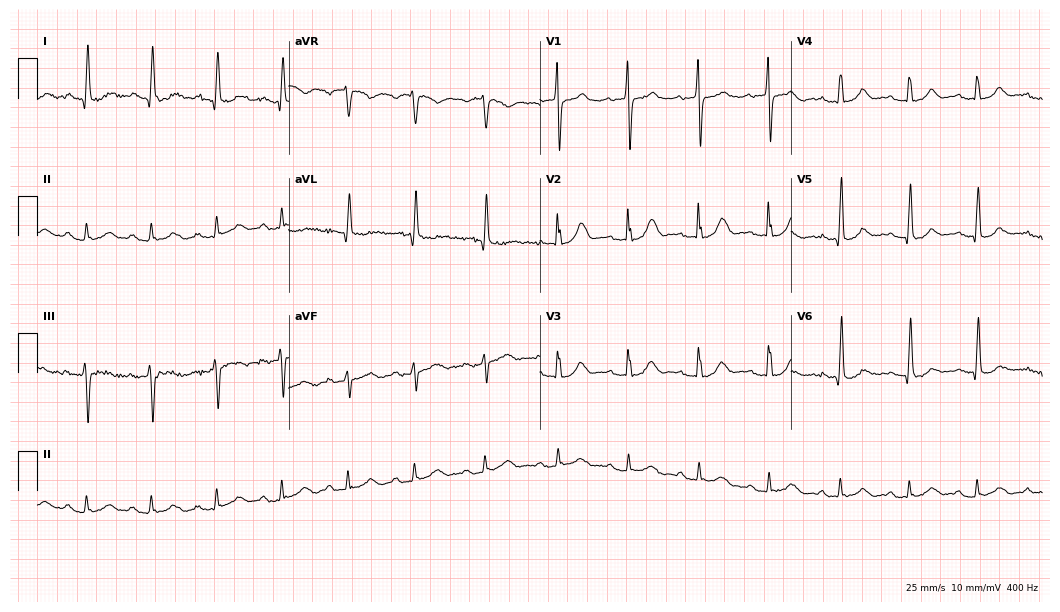
ECG (10.2-second recording at 400 Hz) — an 87-year-old woman. Screened for six findings — first-degree AV block, right bundle branch block, left bundle branch block, sinus bradycardia, atrial fibrillation, sinus tachycardia — none is recorded. Other findings, if any, are not listed.